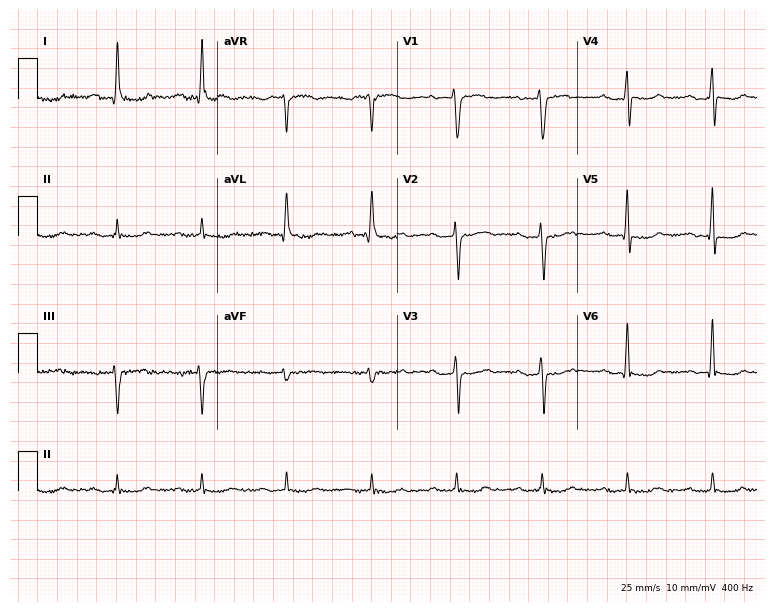
Standard 12-lead ECG recorded from a 69-year-old man (7.3-second recording at 400 Hz). The tracing shows first-degree AV block.